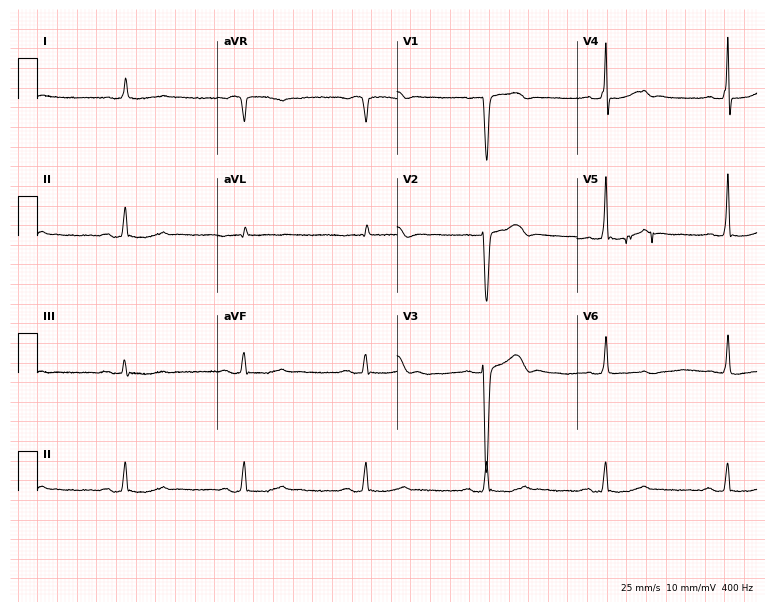
Electrocardiogram (7.3-second recording at 400 Hz), a 78-year-old male. Interpretation includes sinus bradycardia (a sinus rate of 50 beats per minute or less).